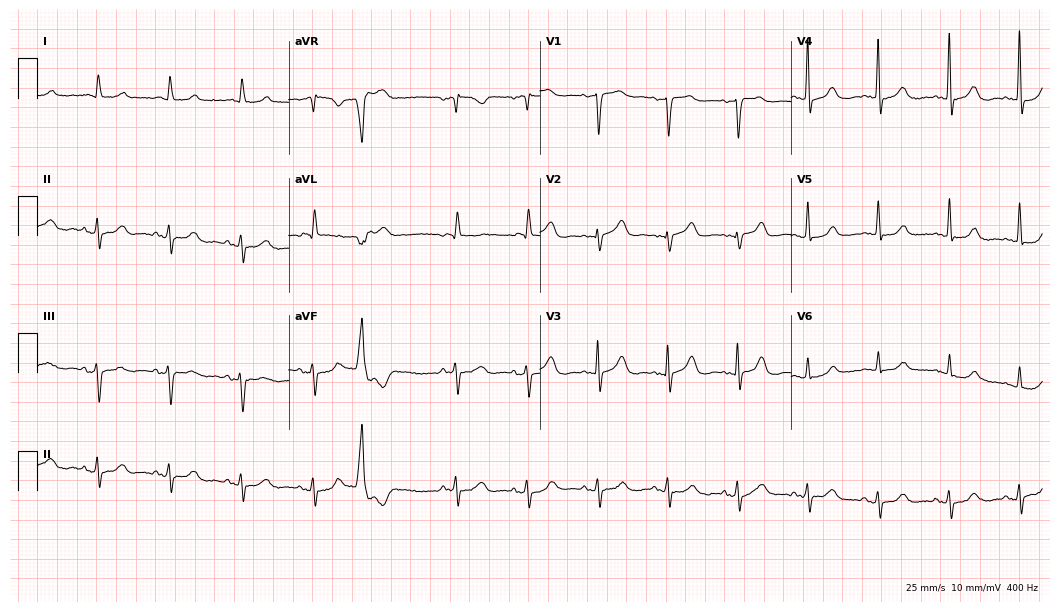
Electrocardiogram (10.2-second recording at 400 Hz), a female, 81 years old. Overall reading on record: normal ECG.